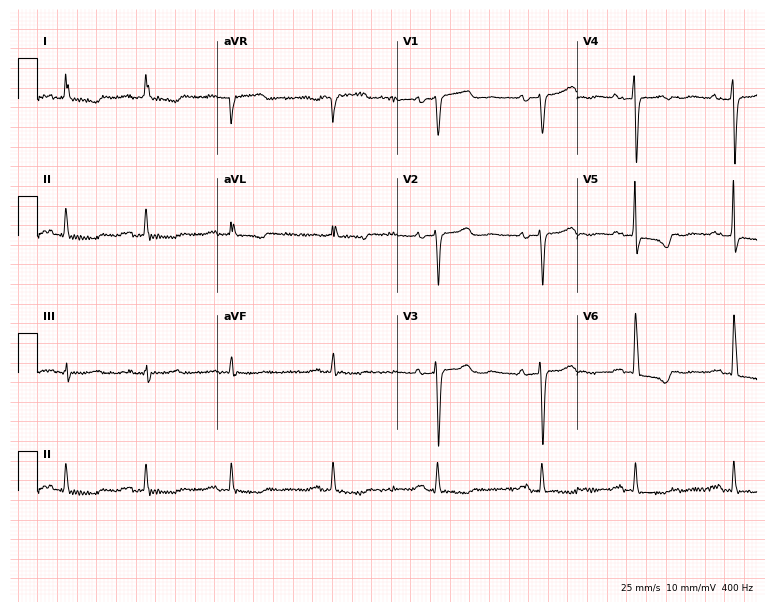
Electrocardiogram, a female patient, 83 years old. Of the six screened findings (first-degree AV block, right bundle branch block, left bundle branch block, sinus bradycardia, atrial fibrillation, sinus tachycardia), none is recorded. Findings outside these six are not listed.